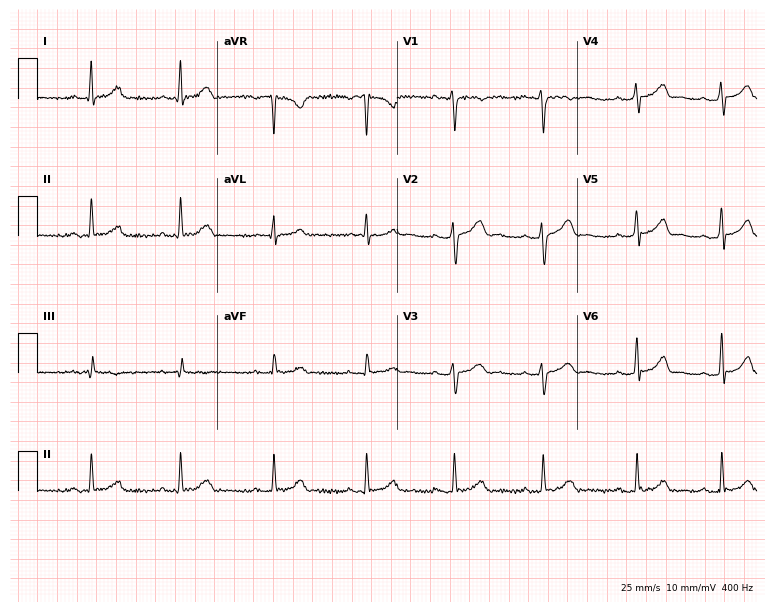
Resting 12-lead electrocardiogram (7.3-second recording at 400 Hz). Patient: a 32-year-old male. Read as a normal ECG.